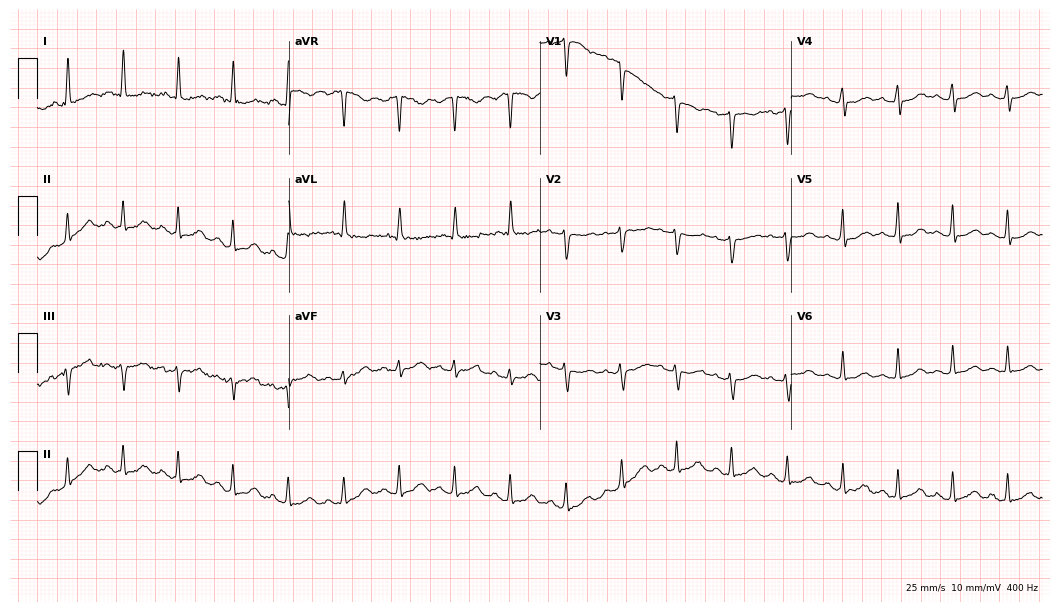
12-lead ECG from a woman, 47 years old (10.2-second recording at 400 Hz). Shows sinus tachycardia (a sinus rate of 100 beats per minute or more).